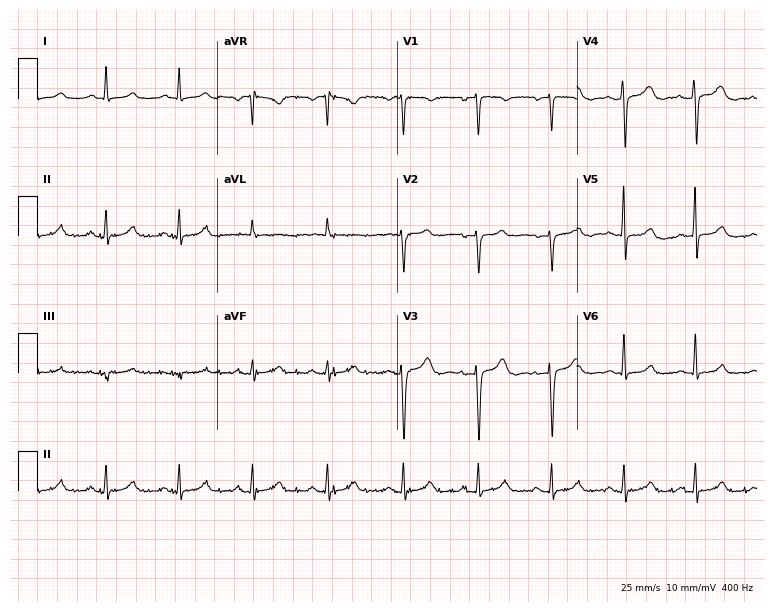
Standard 12-lead ECG recorded from a 30-year-old female patient (7.3-second recording at 400 Hz). Read as a normal ECG.